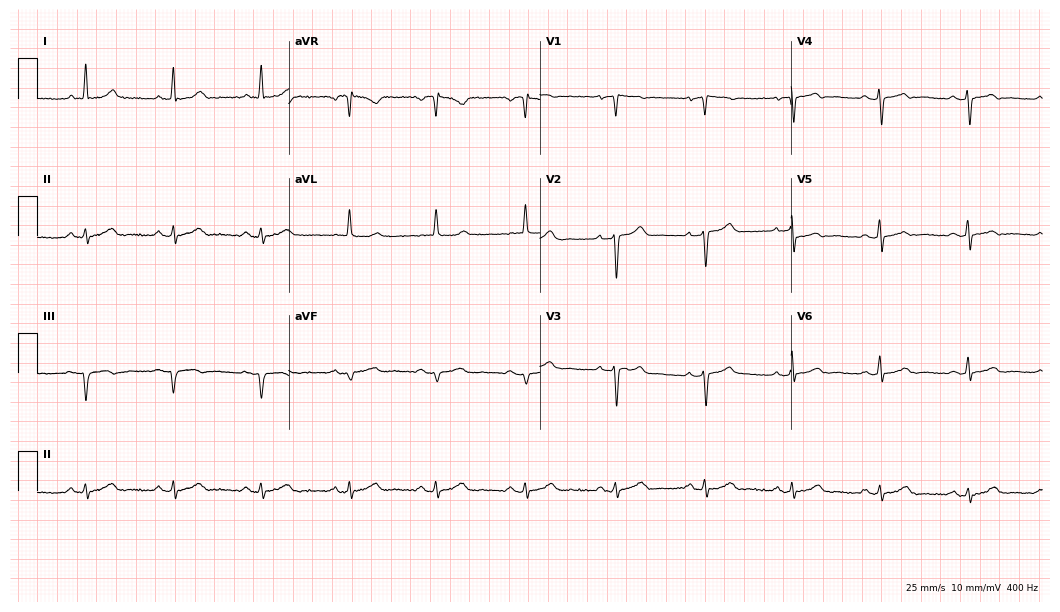
Resting 12-lead electrocardiogram (10.2-second recording at 400 Hz). Patient: a male, 72 years old. None of these six findings is recorded: first-degree AV block, right bundle branch block, left bundle branch block, sinus bradycardia, atrial fibrillation, sinus tachycardia.